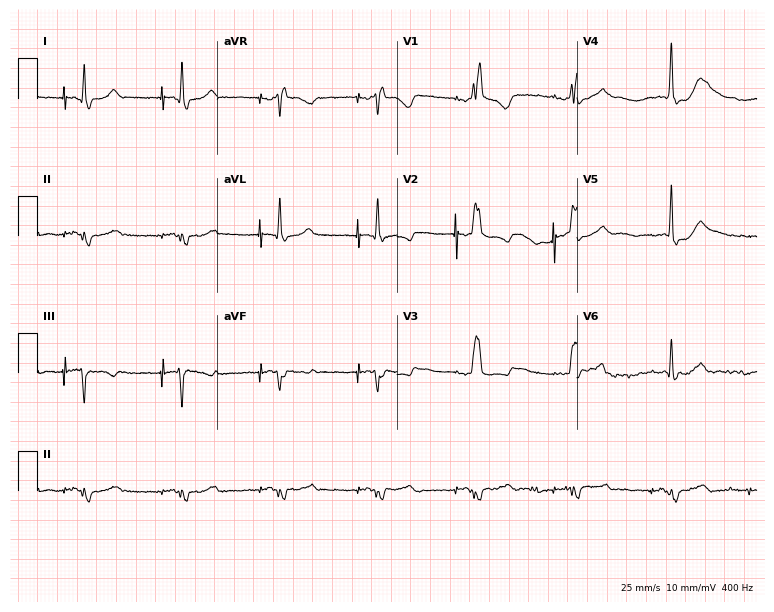
12-lead ECG from a 49-year-old female patient. Findings include right bundle branch block.